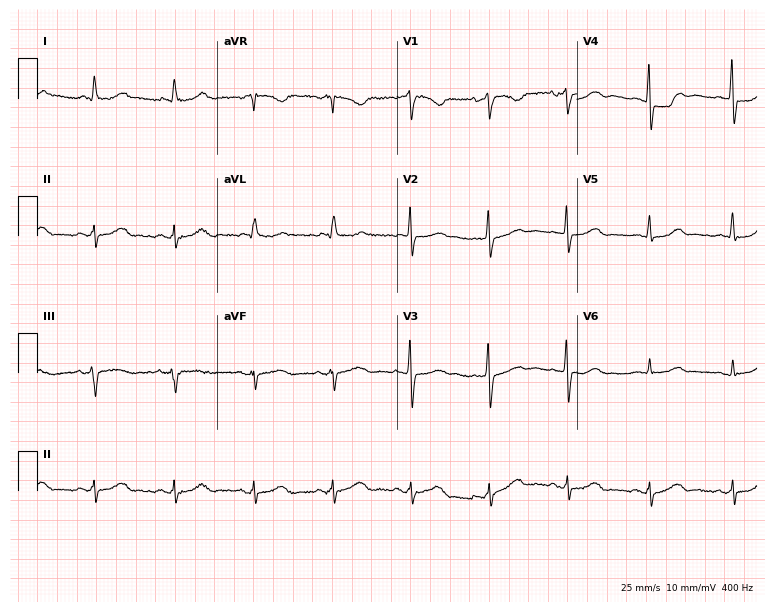
Resting 12-lead electrocardiogram. Patient: a 77-year-old female. Read as a normal ECG.